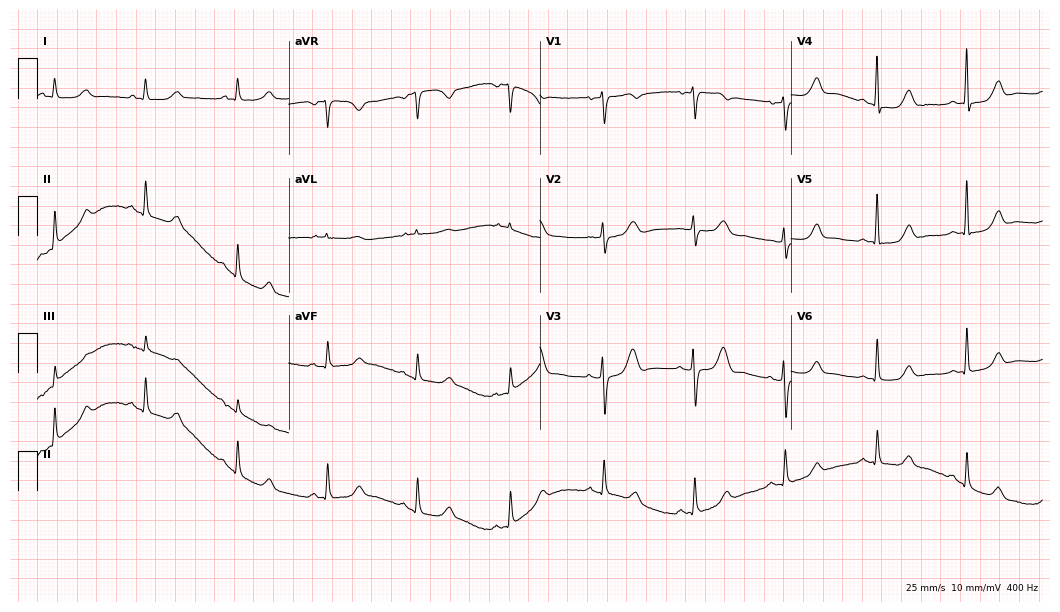
Standard 12-lead ECG recorded from a 67-year-old female. Read as a normal ECG.